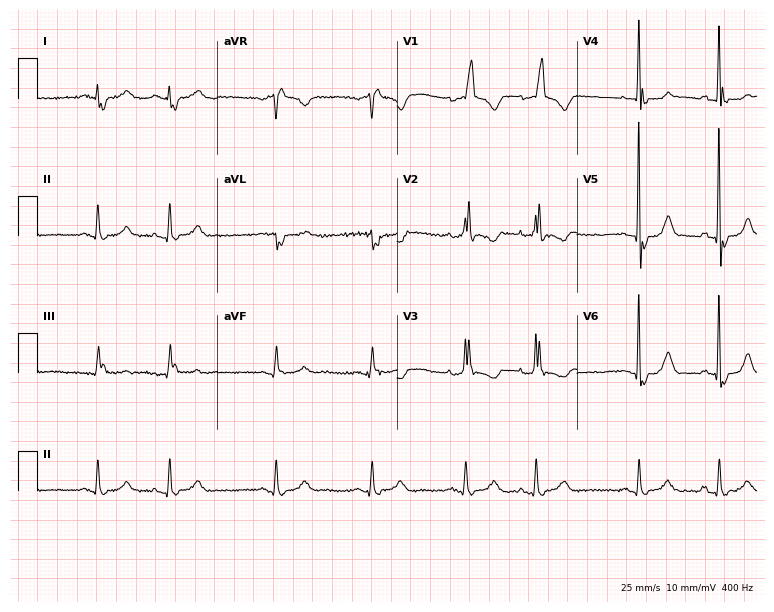
ECG — a 73-year-old female patient. Screened for six findings — first-degree AV block, right bundle branch block (RBBB), left bundle branch block (LBBB), sinus bradycardia, atrial fibrillation (AF), sinus tachycardia — none is recorded.